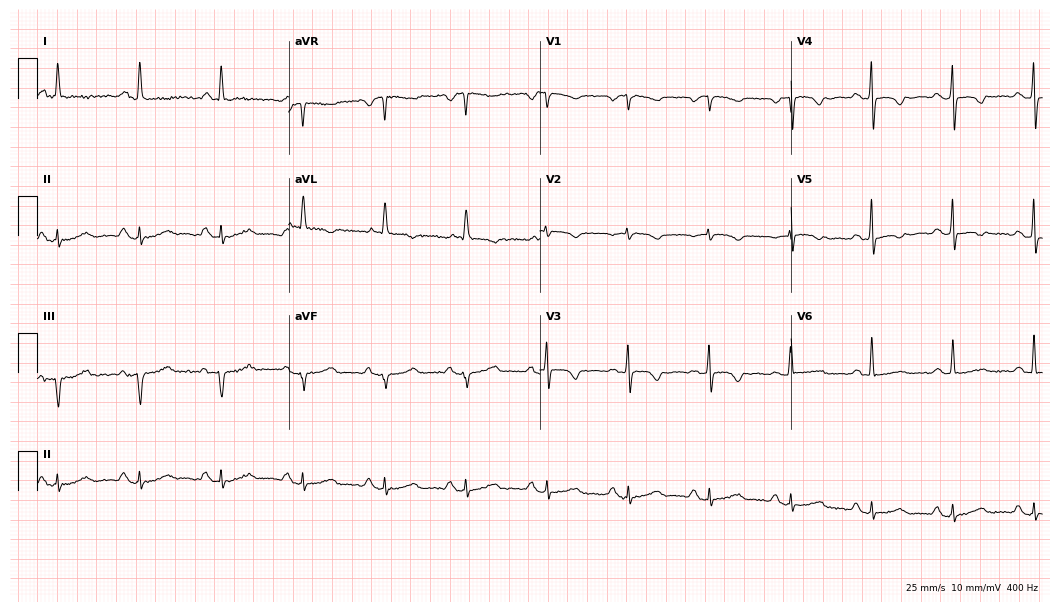
12-lead ECG (10.2-second recording at 400 Hz) from a 68-year-old female. Screened for six findings — first-degree AV block, right bundle branch block, left bundle branch block, sinus bradycardia, atrial fibrillation, sinus tachycardia — none is recorded.